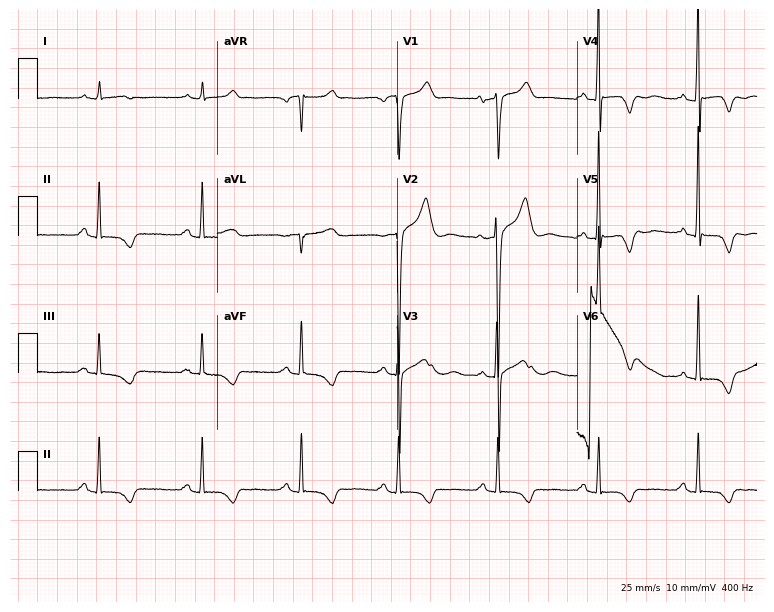
12-lead ECG from a 63-year-old male patient (7.3-second recording at 400 Hz). No first-degree AV block, right bundle branch block, left bundle branch block, sinus bradycardia, atrial fibrillation or sinus tachycardia recorded for this tracing. Only these six findings were labelled.